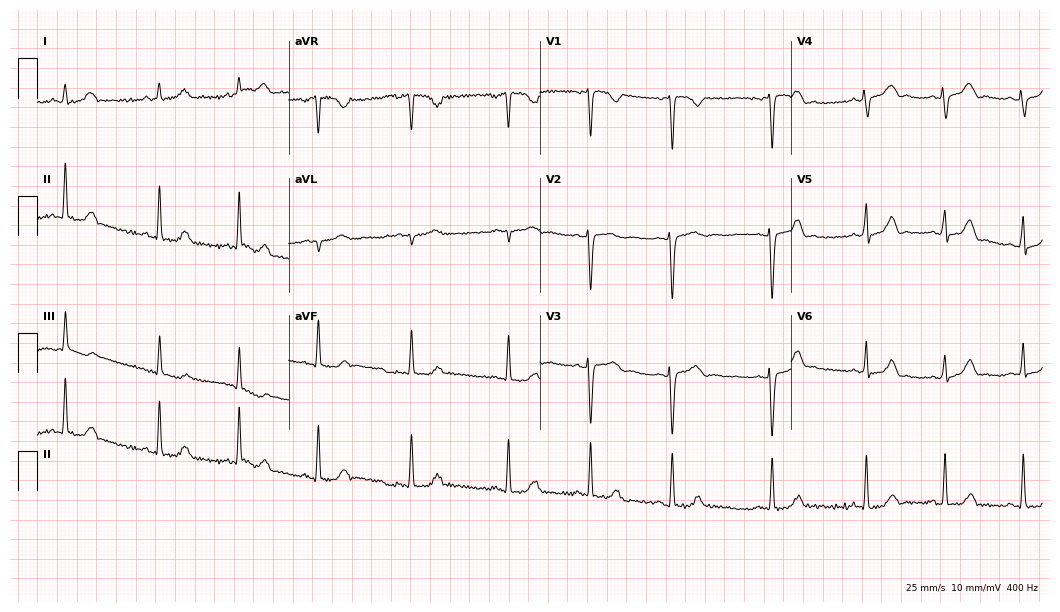
ECG (10.2-second recording at 400 Hz) — a 22-year-old female patient. Screened for six findings — first-degree AV block, right bundle branch block, left bundle branch block, sinus bradycardia, atrial fibrillation, sinus tachycardia — none is recorded. Findings outside these six are not listed.